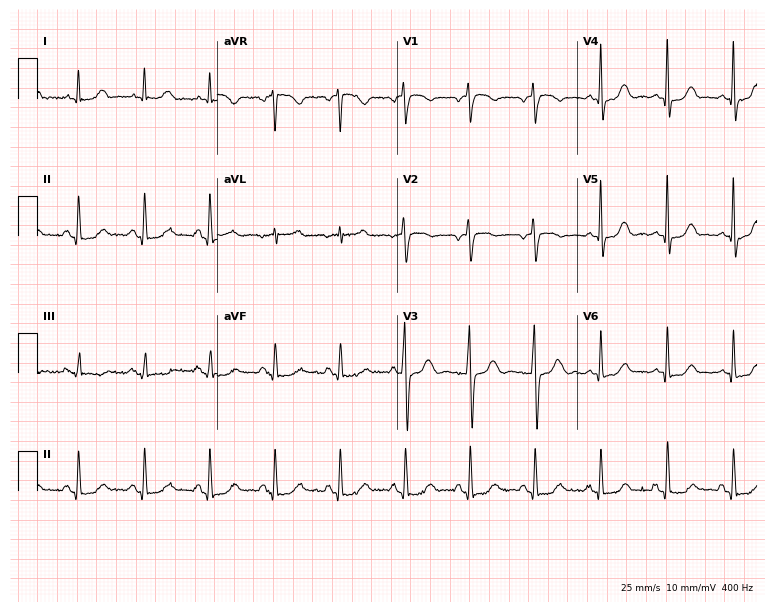
Resting 12-lead electrocardiogram (7.3-second recording at 400 Hz). Patient: a 72-year-old female. None of these six findings is recorded: first-degree AV block, right bundle branch block, left bundle branch block, sinus bradycardia, atrial fibrillation, sinus tachycardia.